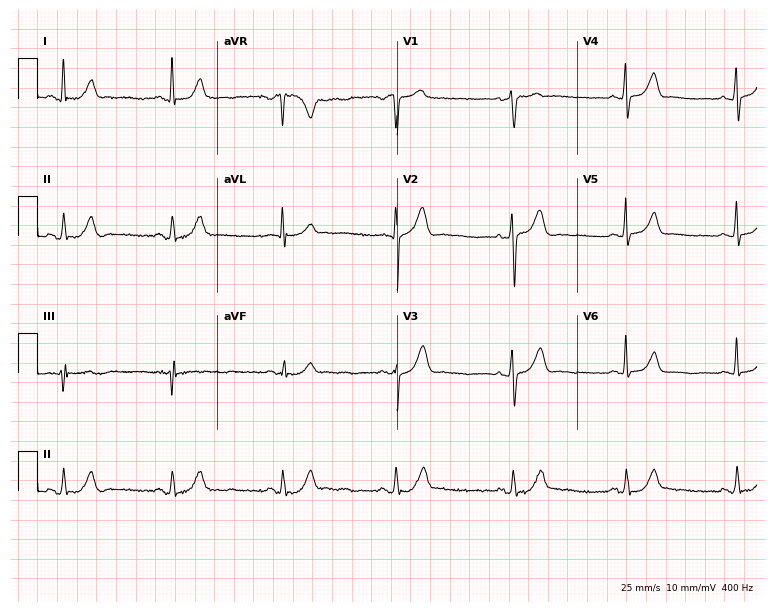
ECG — a 50-year-old male patient. Screened for six findings — first-degree AV block, right bundle branch block, left bundle branch block, sinus bradycardia, atrial fibrillation, sinus tachycardia — none is recorded.